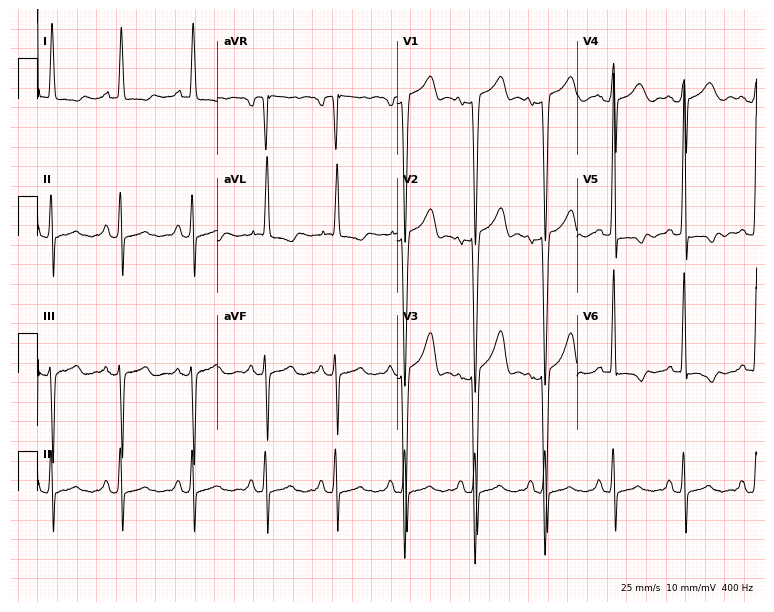
Resting 12-lead electrocardiogram. Patient: a woman, 61 years old. None of these six findings is recorded: first-degree AV block, right bundle branch block, left bundle branch block, sinus bradycardia, atrial fibrillation, sinus tachycardia. Findings outside these six are not listed.